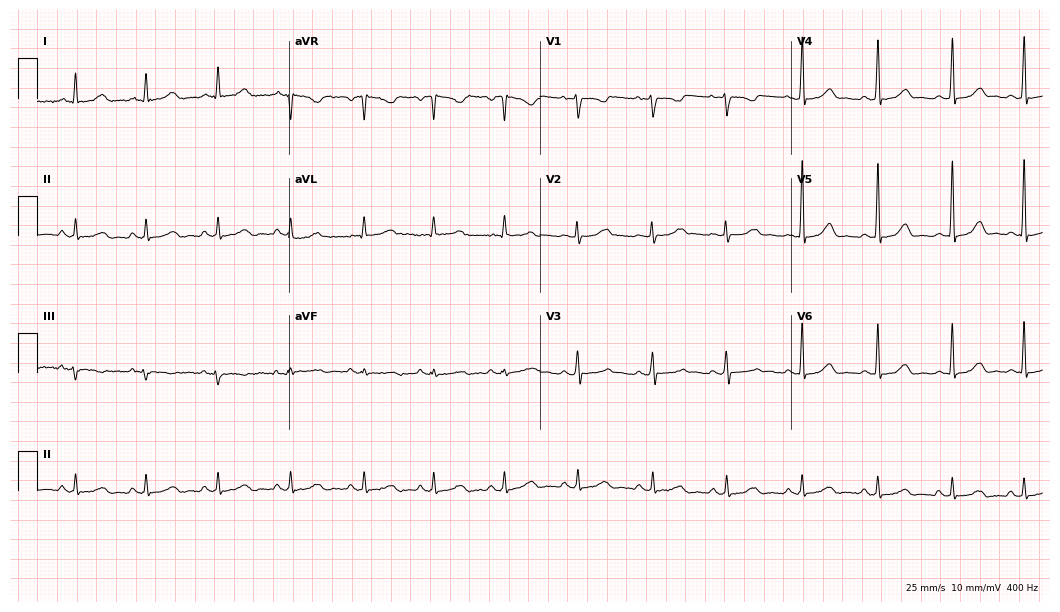
Standard 12-lead ECG recorded from a female patient, 40 years old (10.2-second recording at 400 Hz). None of these six findings is recorded: first-degree AV block, right bundle branch block (RBBB), left bundle branch block (LBBB), sinus bradycardia, atrial fibrillation (AF), sinus tachycardia. Other findings, if any, are not listed.